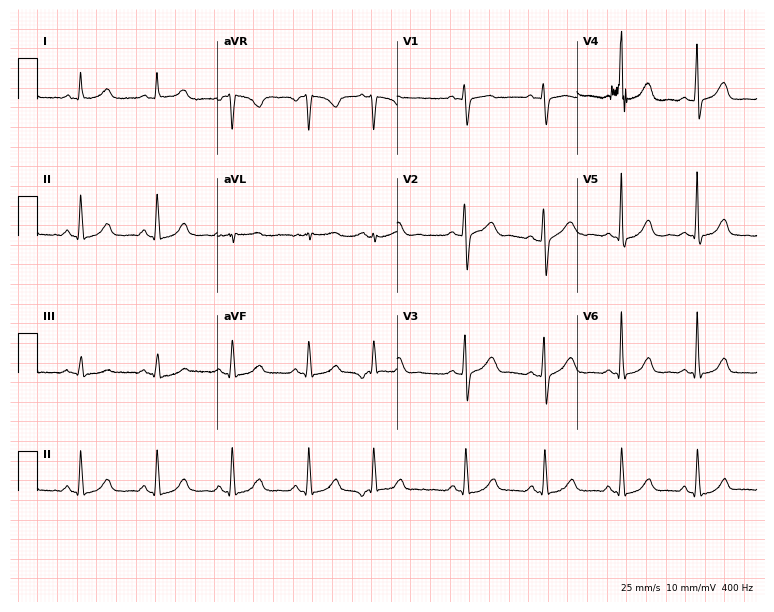
Electrocardiogram, a 37-year-old woman. Of the six screened findings (first-degree AV block, right bundle branch block, left bundle branch block, sinus bradycardia, atrial fibrillation, sinus tachycardia), none is recorded.